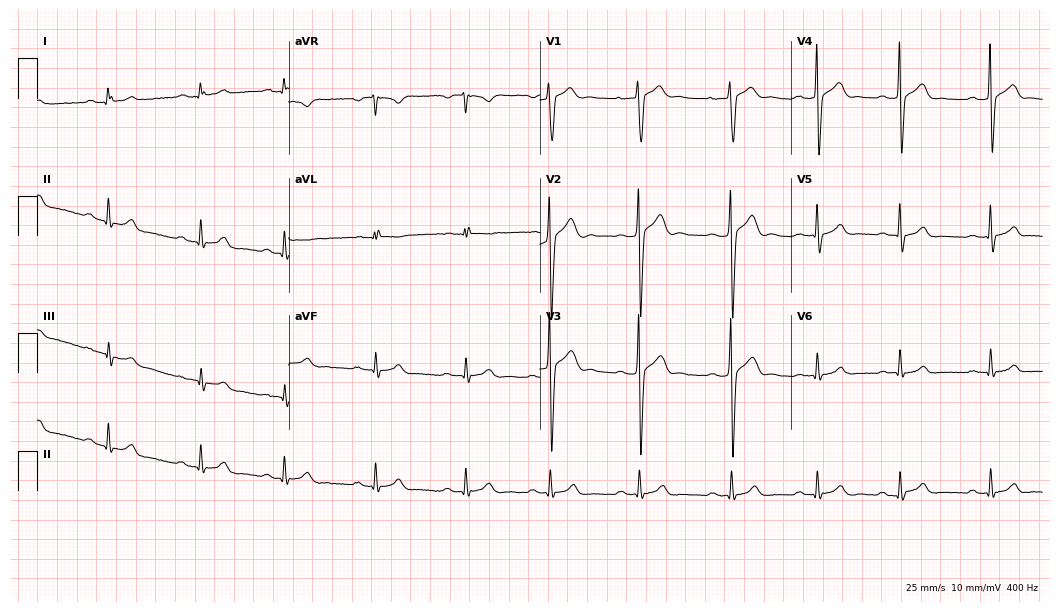
ECG — a 21-year-old male patient. Labelled as a normal ECG.